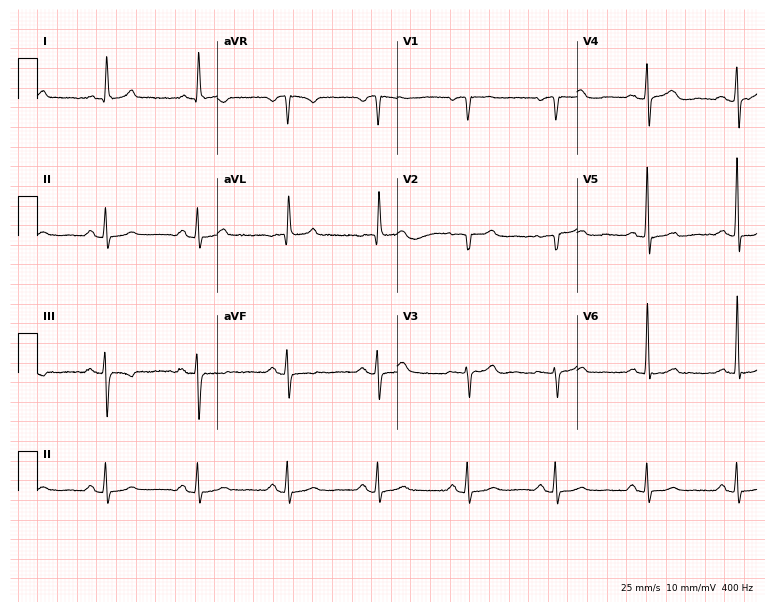
Electrocardiogram (7.3-second recording at 400 Hz), a female patient, 84 years old. Of the six screened findings (first-degree AV block, right bundle branch block (RBBB), left bundle branch block (LBBB), sinus bradycardia, atrial fibrillation (AF), sinus tachycardia), none is recorded.